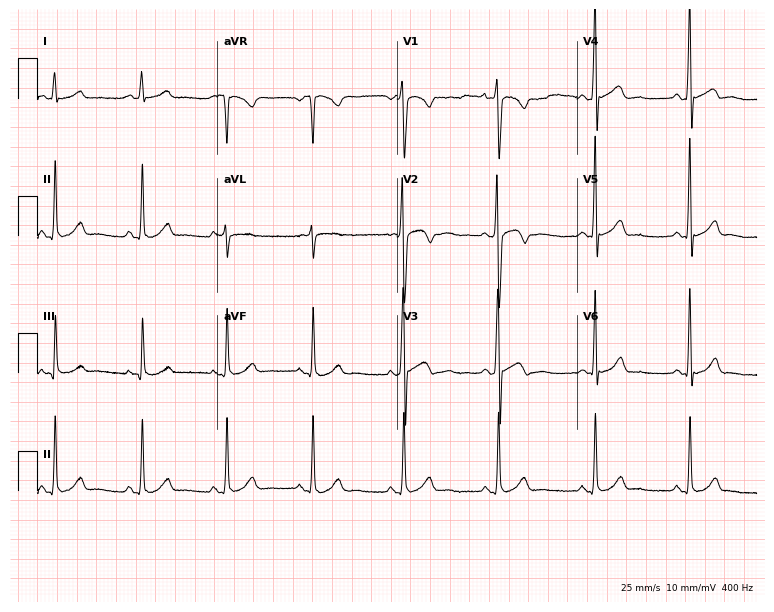
Standard 12-lead ECG recorded from a man, 26 years old (7.3-second recording at 400 Hz). Read as a normal ECG.